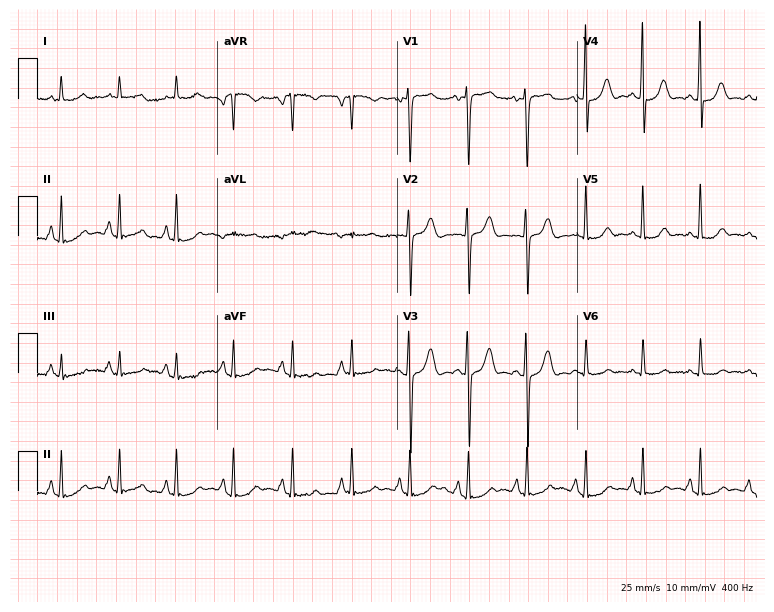
12-lead ECG from a 35-year-old woman. Findings include sinus tachycardia (a sinus rate of 100 beats per minute or more).